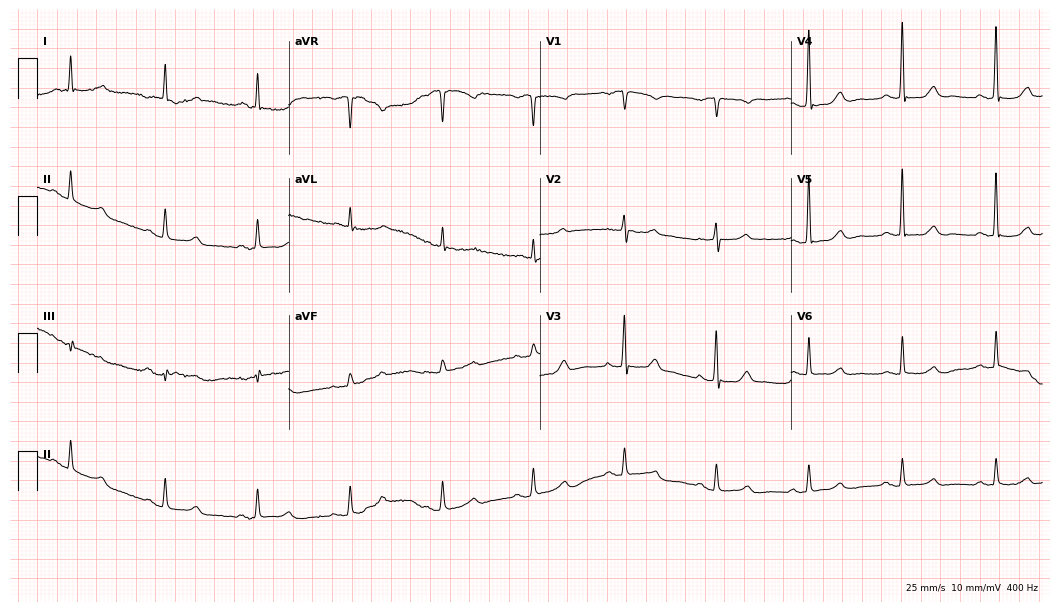
ECG — an 83-year-old female. Labelled as a normal ECG.